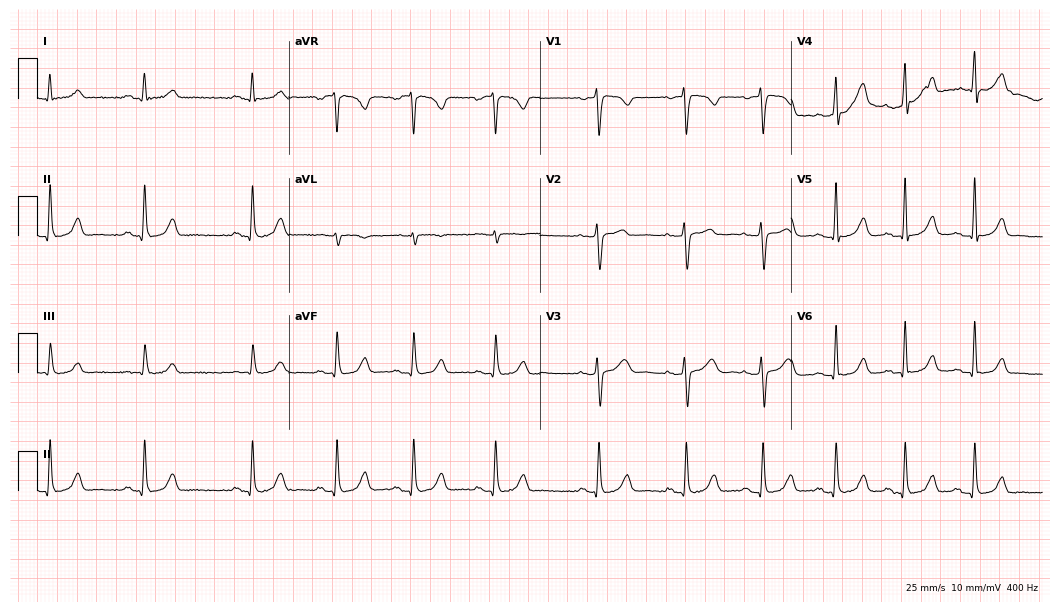
12-lead ECG from a female patient, 33 years old (10.2-second recording at 400 Hz). Recorded interpretation: within normal limits.